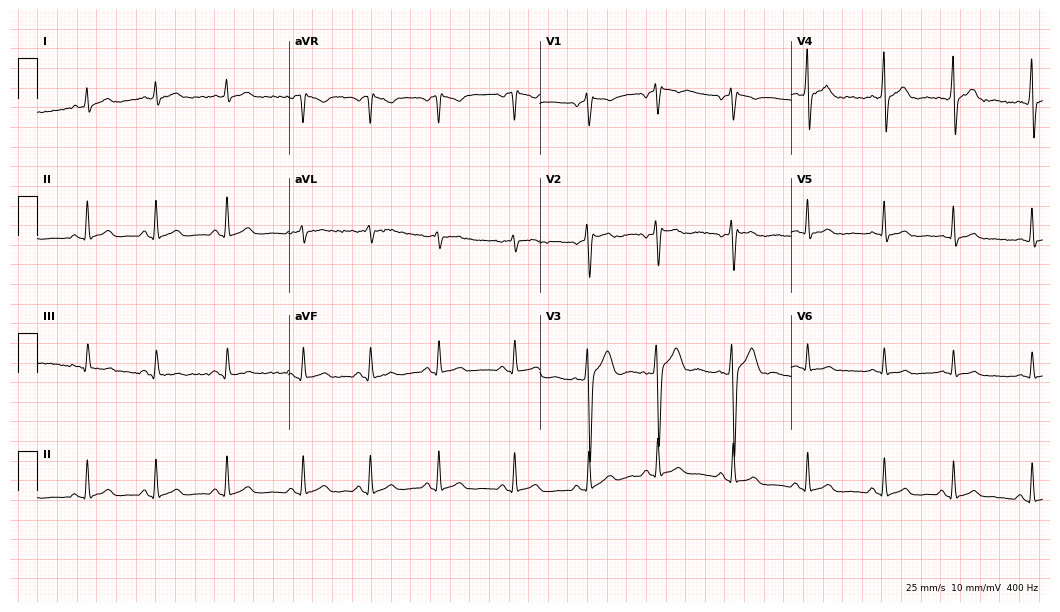
12-lead ECG from a 27-year-old male patient. Screened for six findings — first-degree AV block, right bundle branch block, left bundle branch block, sinus bradycardia, atrial fibrillation, sinus tachycardia — none is recorded.